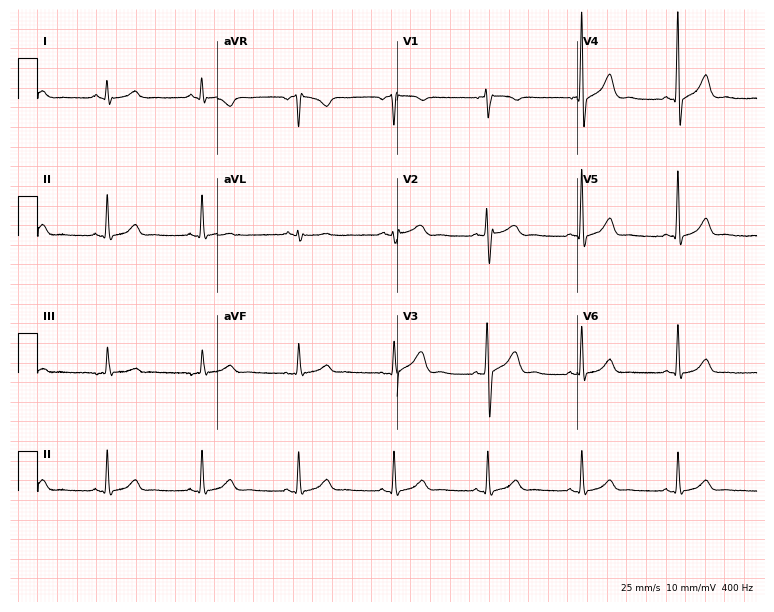
12-lead ECG from a 66-year-old male patient. Screened for six findings — first-degree AV block, right bundle branch block, left bundle branch block, sinus bradycardia, atrial fibrillation, sinus tachycardia — none is recorded. Other findings, if any, are not listed.